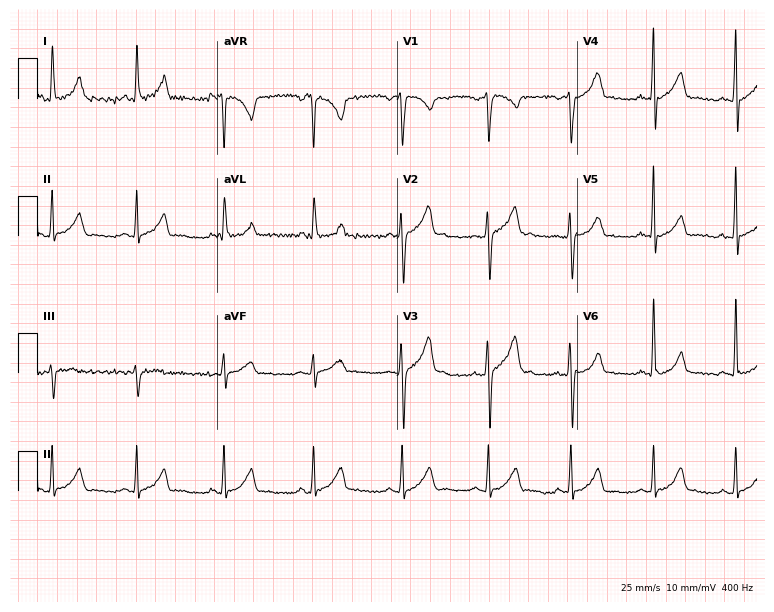
Electrocardiogram, a 26-year-old male patient. Overall reading on record: normal ECG.